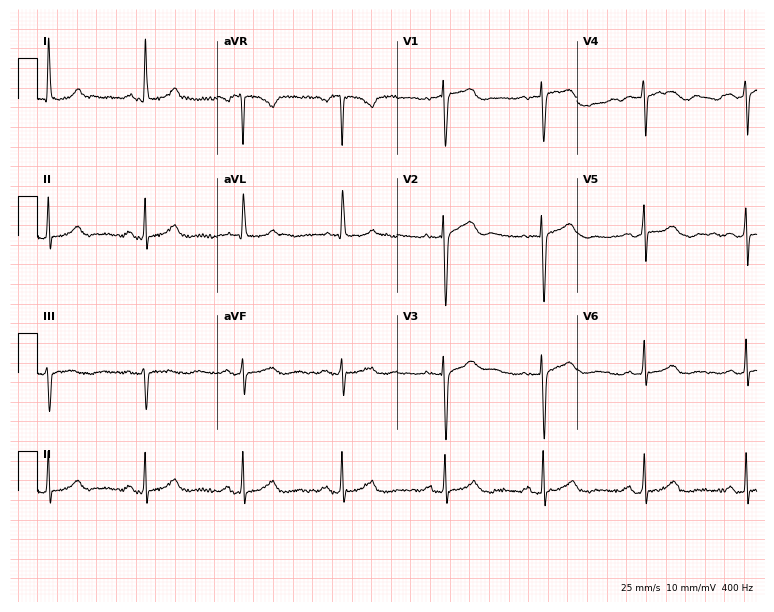
Electrocardiogram, a 78-year-old woman. Overall reading on record: normal ECG.